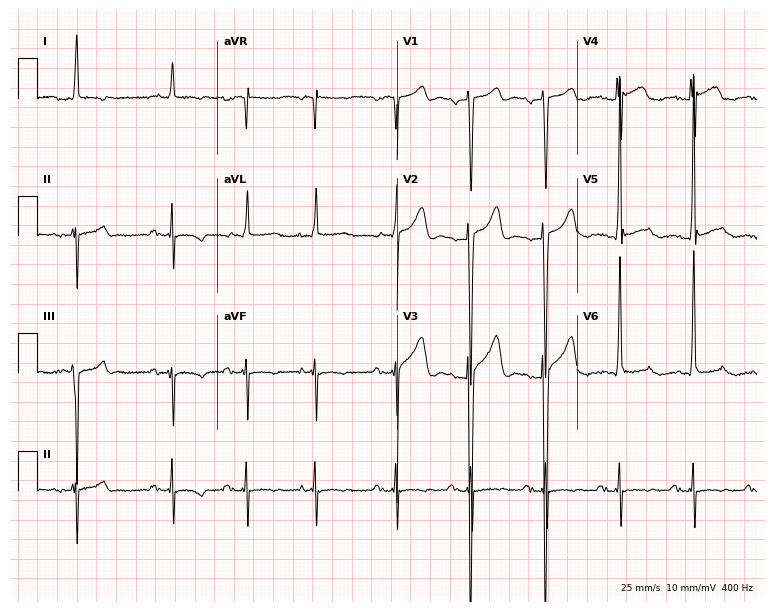
Resting 12-lead electrocardiogram (7.3-second recording at 400 Hz). Patient: a 70-year-old man. None of these six findings is recorded: first-degree AV block, right bundle branch block (RBBB), left bundle branch block (LBBB), sinus bradycardia, atrial fibrillation (AF), sinus tachycardia. Only these six findings were labelled.